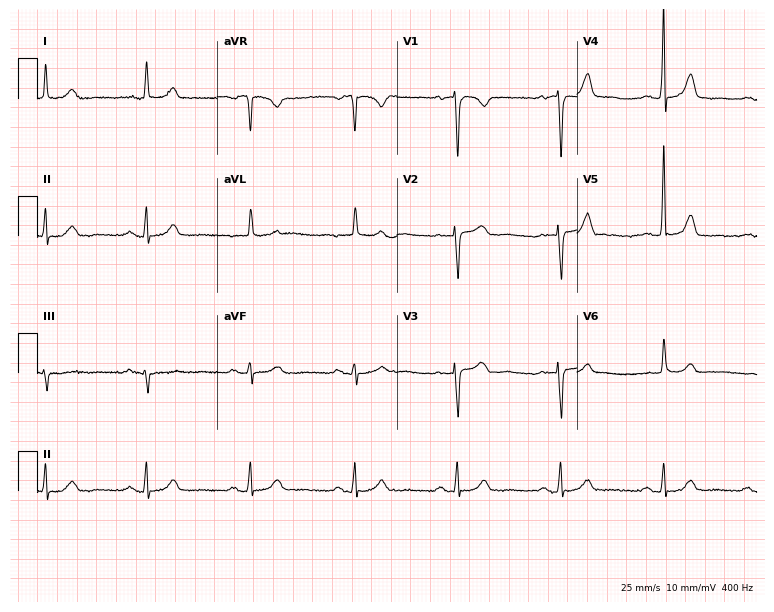
Standard 12-lead ECG recorded from a female, 74 years old (7.3-second recording at 400 Hz). Read as a normal ECG.